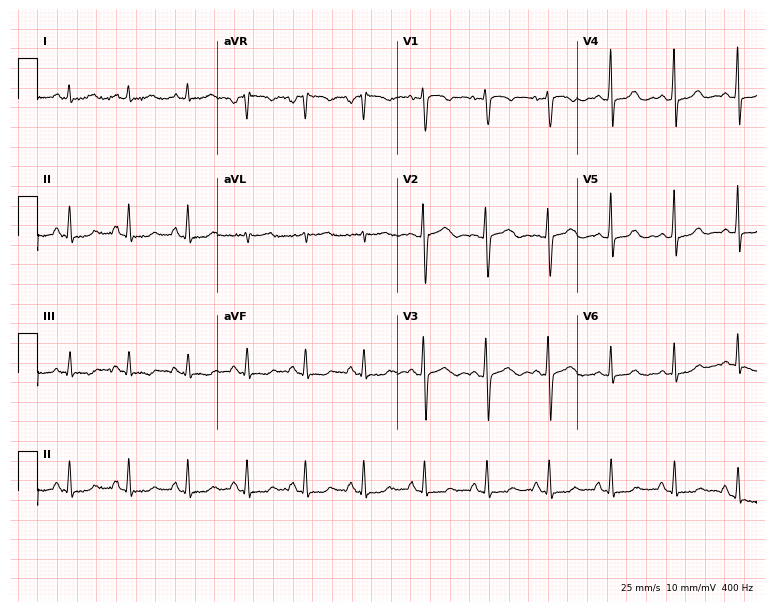
Electrocardiogram, a female, 45 years old. Of the six screened findings (first-degree AV block, right bundle branch block, left bundle branch block, sinus bradycardia, atrial fibrillation, sinus tachycardia), none is recorded. Findings outside these six are not listed.